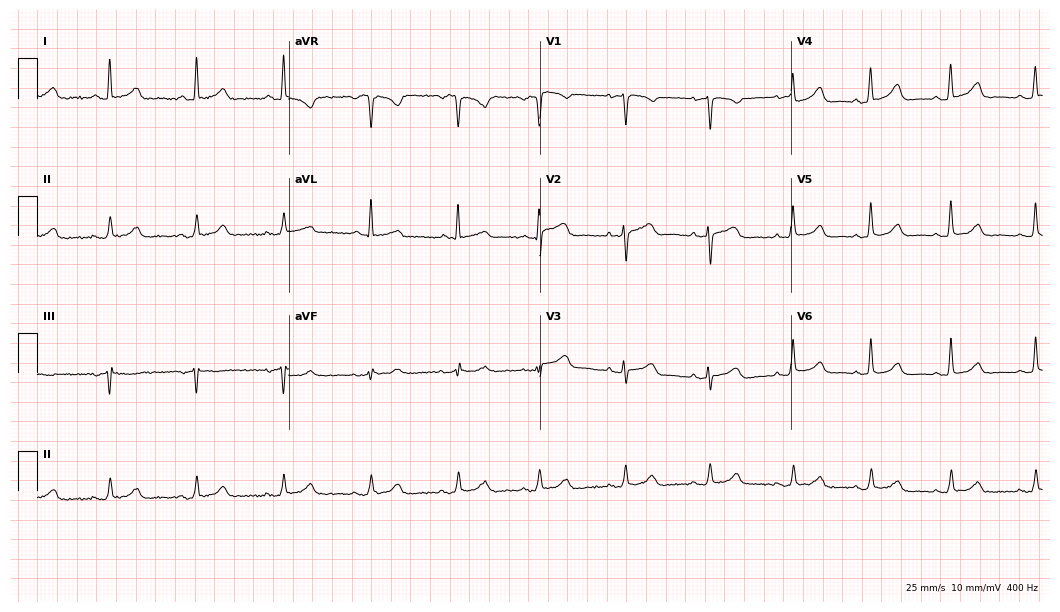
Electrocardiogram, a female, 57 years old. Overall reading on record: normal ECG.